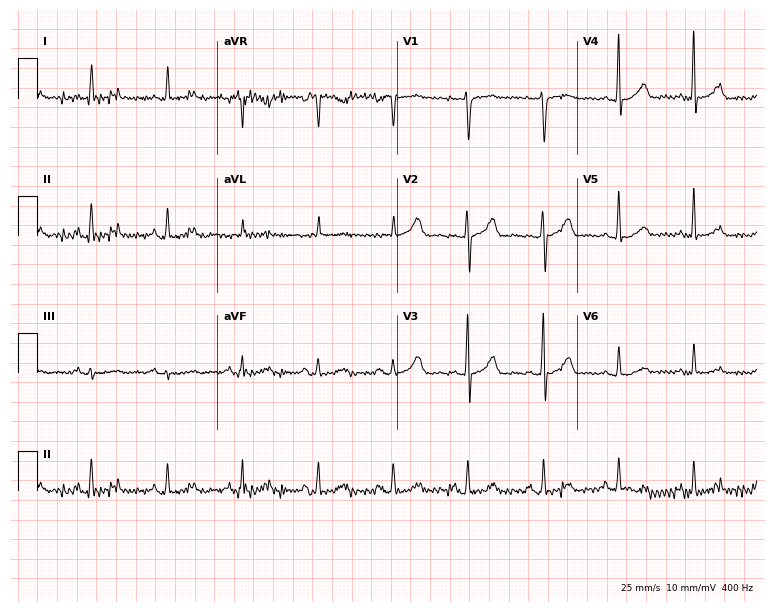
Electrocardiogram, a 59-year-old woman. Of the six screened findings (first-degree AV block, right bundle branch block, left bundle branch block, sinus bradycardia, atrial fibrillation, sinus tachycardia), none is recorded. Other findings, if any, are not listed.